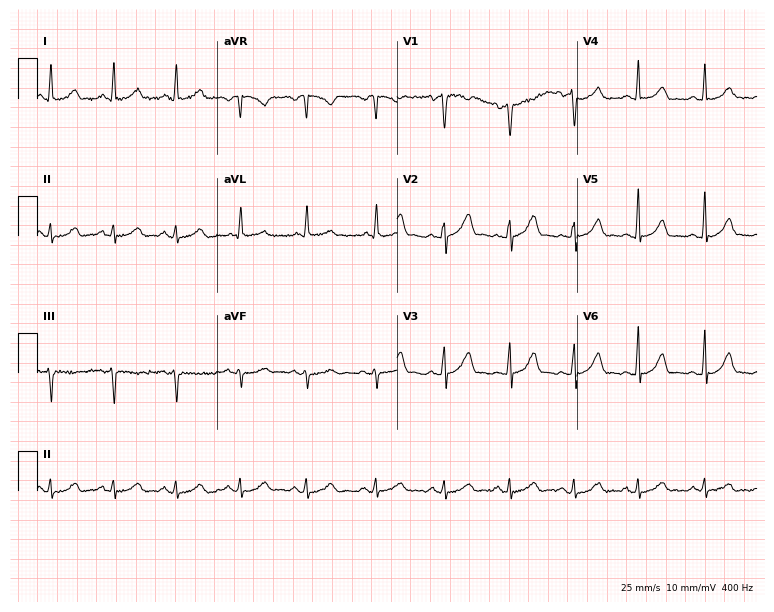
12-lead ECG from a 28-year-old female. Screened for six findings — first-degree AV block, right bundle branch block, left bundle branch block, sinus bradycardia, atrial fibrillation, sinus tachycardia — none is recorded. Only these six findings were labelled.